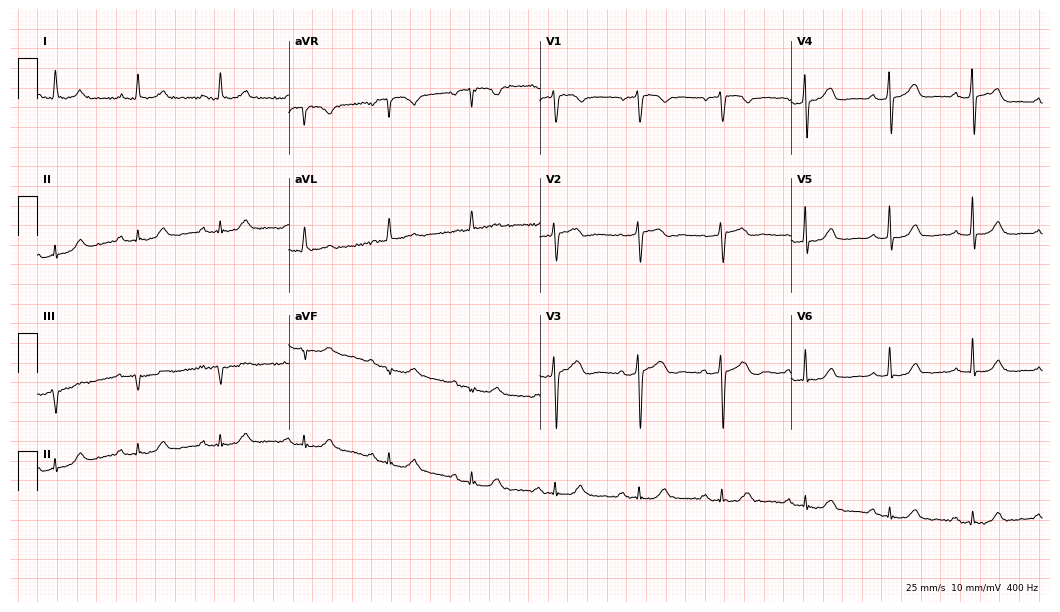
Standard 12-lead ECG recorded from a 73-year-old man. Read as a normal ECG.